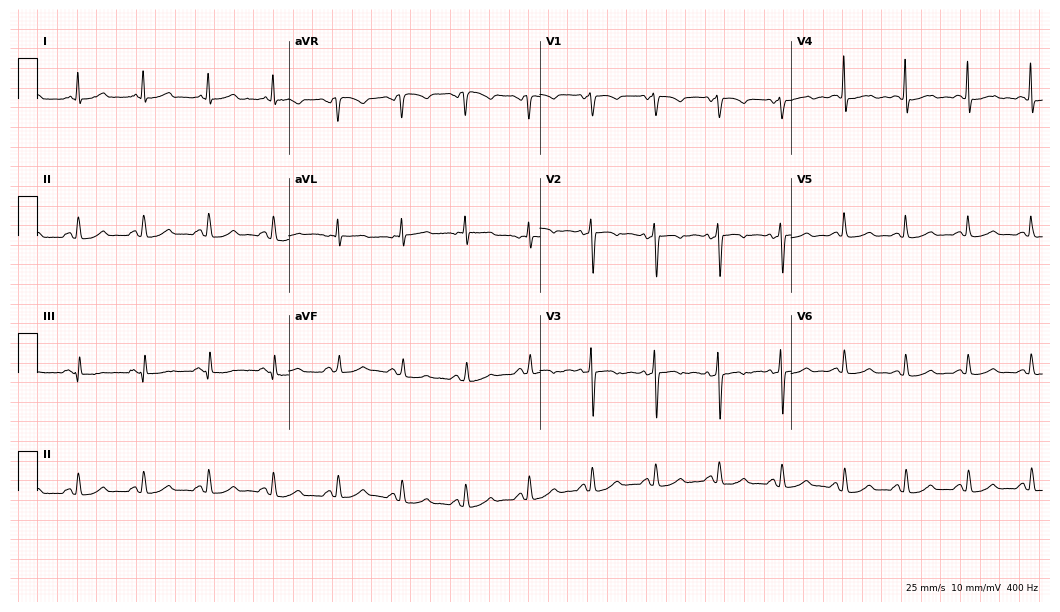
Resting 12-lead electrocardiogram (10.2-second recording at 400 Hz). Patient: a 55-year-old woman. None of these six findings is recorded: first-degree AV block, right bundle branch block, left bundle branch block, sinus bradycardia, atrial fibrillation, sinus tachycardia.